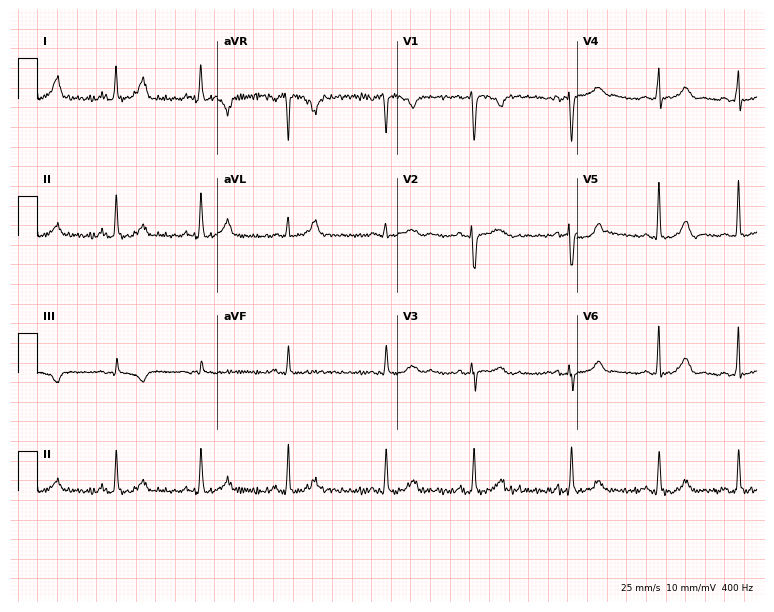
Electrocardiogram, a 25-year-old female patient. Of the six screened findings (first-degree AV block, right bundle branch block, left bundle branch block, sinus bradycardia, atrial fibrillation, sinus tachycardia), none is recorded.